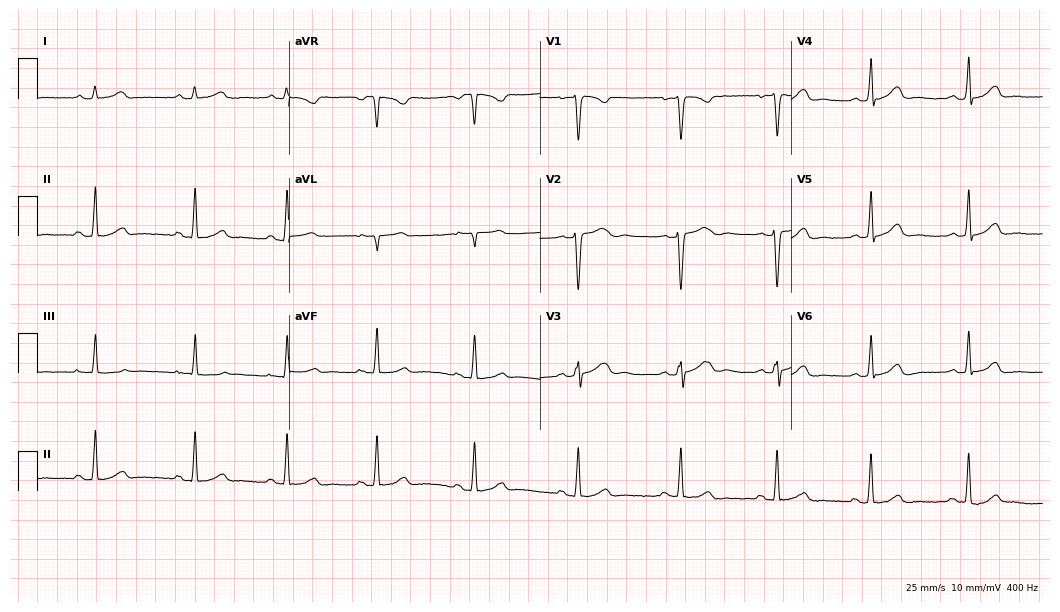
Resting 12-lead electrocardiogram. Patient: a 24-year-old female. Read as a normal ECG.